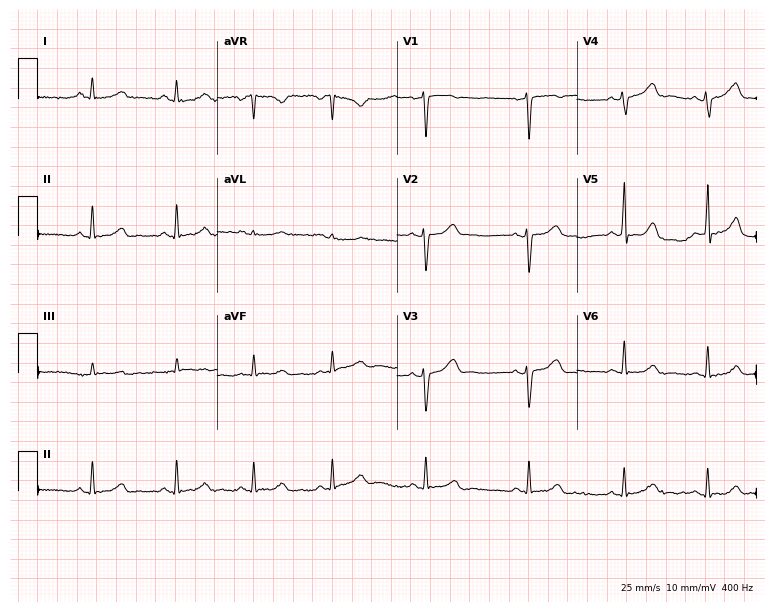
12-lead ECG (7.3-second recording at 400 Hz) from a female patient, 38 years old. Screened for six findings — first-degree AV block, right bundle branch block, left bundle branch block, sinus bradycardia, atrial fibrillation, sinus tachycardia — none is recorded.